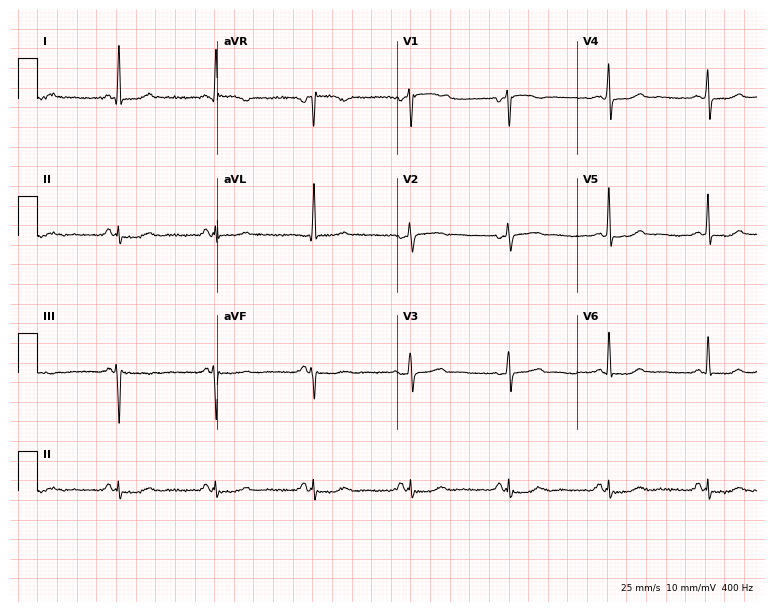
Standard 12-lead ECG recorded from a female, 69 years old (7.3-second recording at 400 Hz). None of these six findings is recorded: first-degree AV block, right bundle branch block, left bundle branch block, sinus bradycardia, atrial fibrillation, sinus tachycardia.